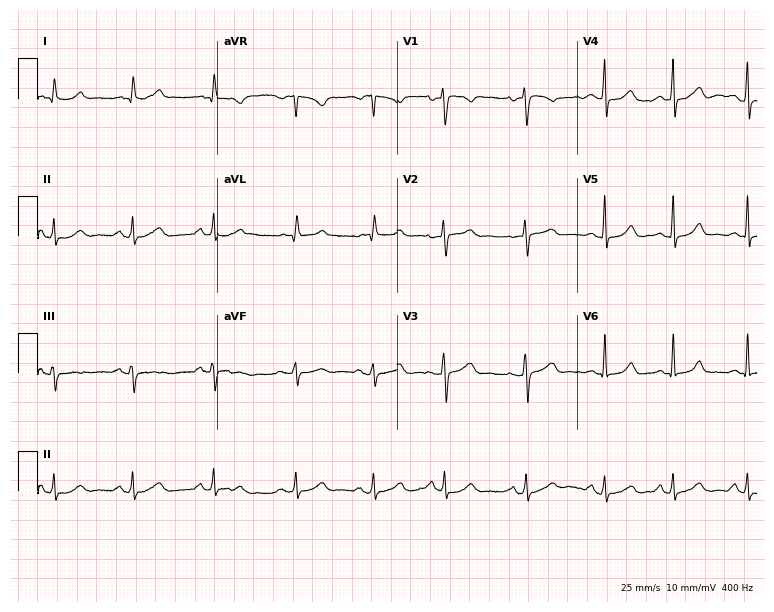
12-lead ECG from a 40-year-old woman (7.3-second recording at 400 Hz). Recorded interpretation: within normal limits.